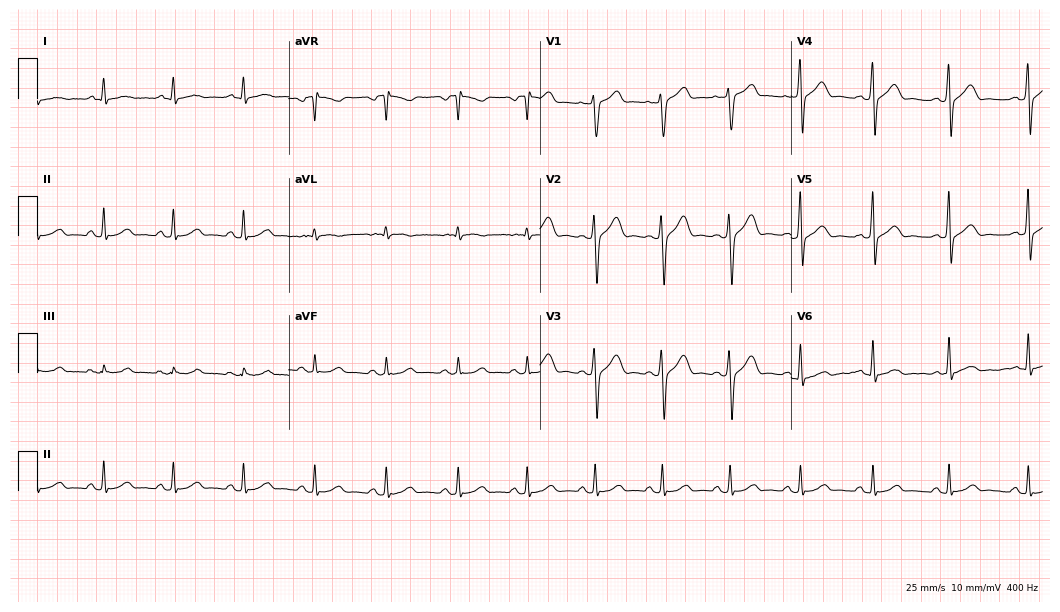
ECG (10.2-second recording at 400 Hz) — a male, 33 years old. Labelled as a normal ECG.